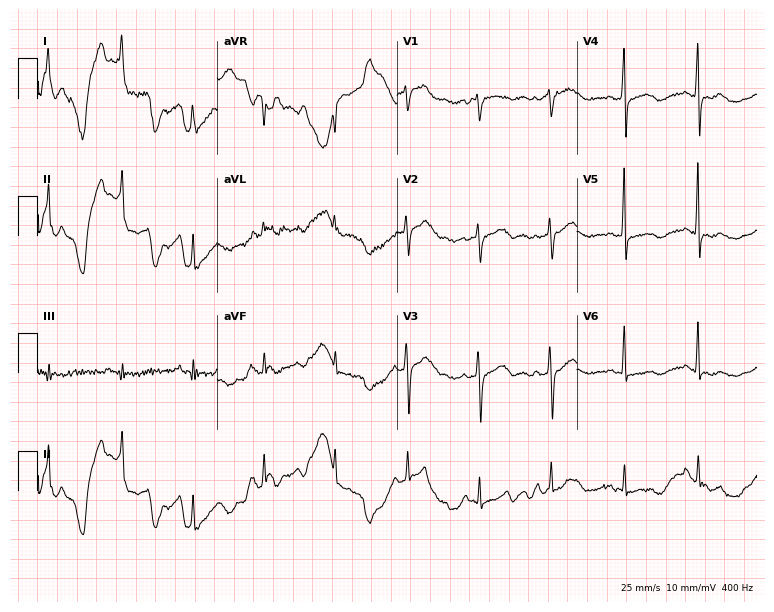
Standard 12-lead ECG recorded from a 62-year-old woman (7.3-second recording at 400 Hz). None of these six findings is recorded: first-degree AV block, right bundle branch block, left bundle branch block, sinus bradycardia, atrial fibrillation, sinus tachycardia. Only these six findings were labelled.